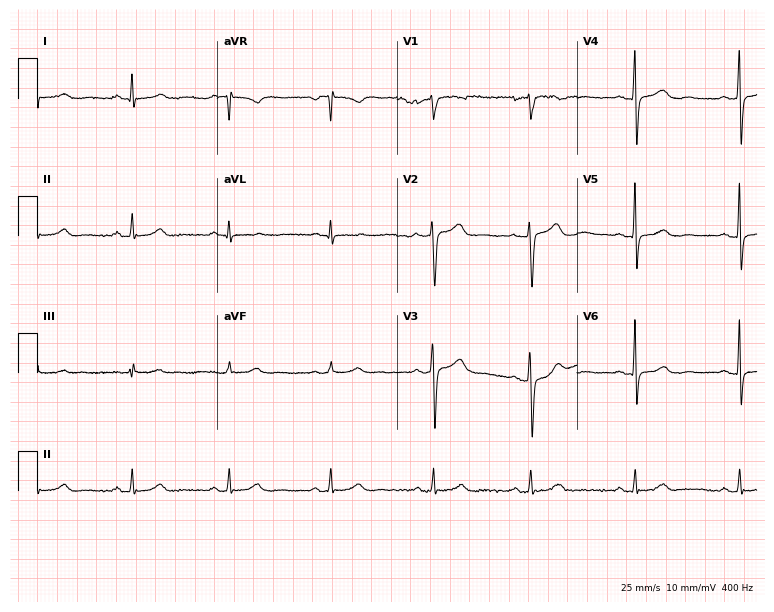
Resting 12-lead electrocardiogram (7.3-second recording at 400 Hz). Patient: a 39-year-old woman. None of these six findings is recorded: first-degree AV block, right bundle branch block, left bundle branch block, sinus bradycardia, atrial fibrillation, sinus tachycardia.